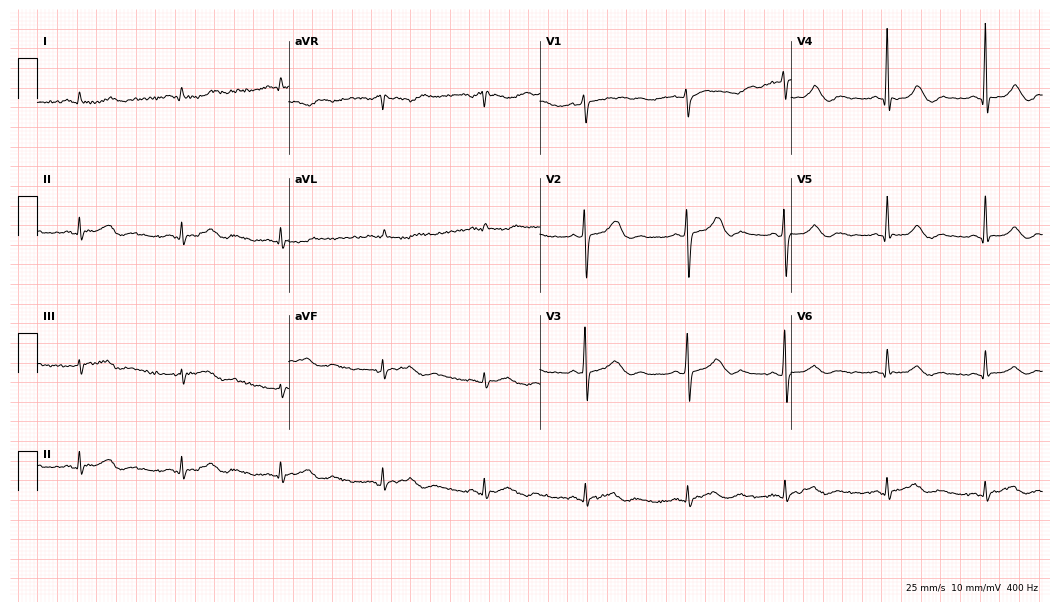
12-lead ECG from a 63-year-old female. Recorded interpretation: within normal limits.